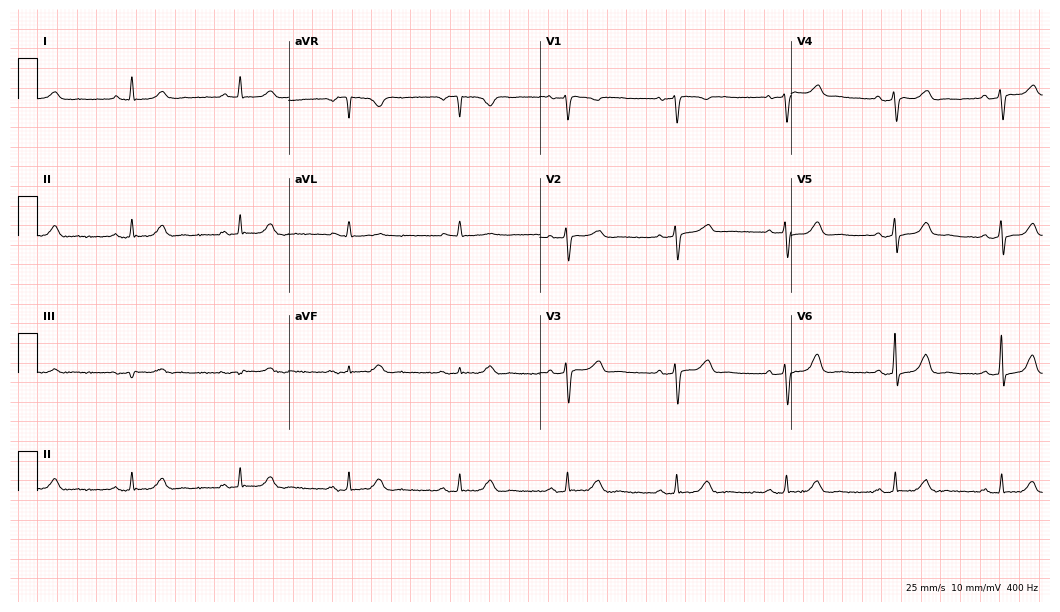
ECG — a woman, 76 years old. Labelled as a normal ECG.